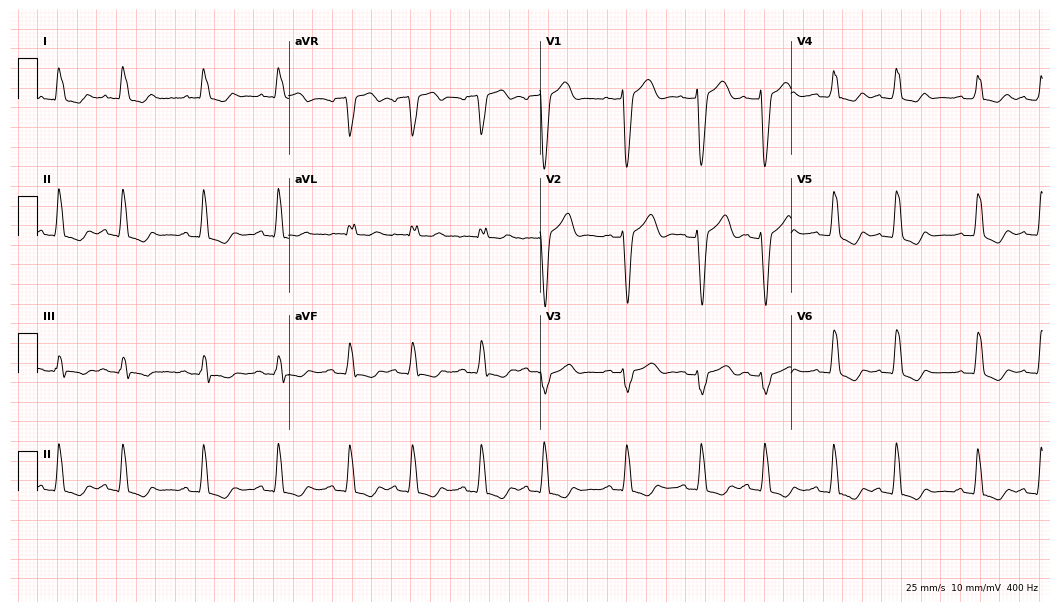
Resting 12-lead electrocardiogram (10.2-second recording at 400 Hz). Patient: an 84-year-old female. The tracing shows left bundle branch block.